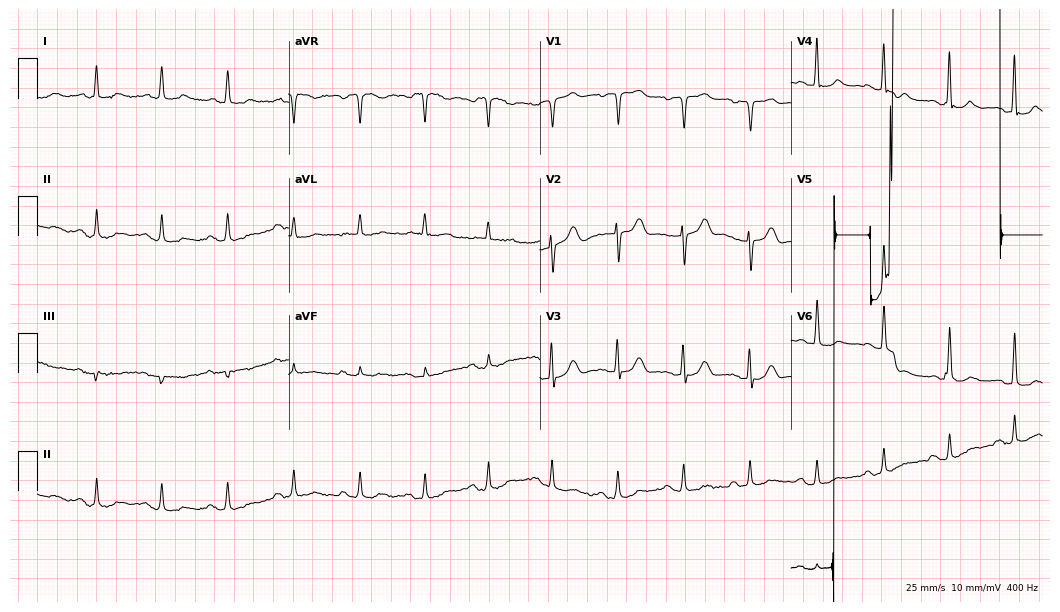
12-lead ECG from an 82-year-old female. No first-degree AV block, right bundle branch block, left bundle branch block, sinus bradycardia, atrial fibrillation or sinus tachycardia recorded for this tracing. Only these six findings were labelled.